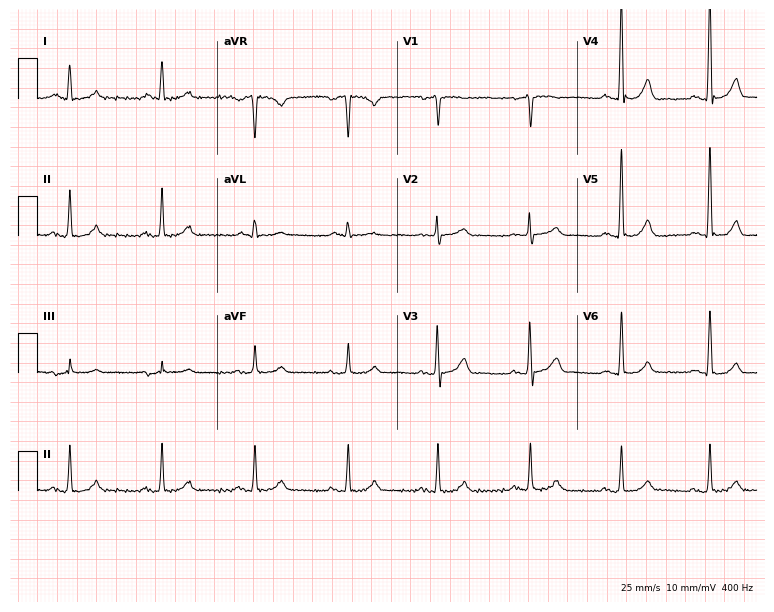
Resting 12-lead electrocardiogram. Patient: a 61-year-old male. Read as a normal ECG.